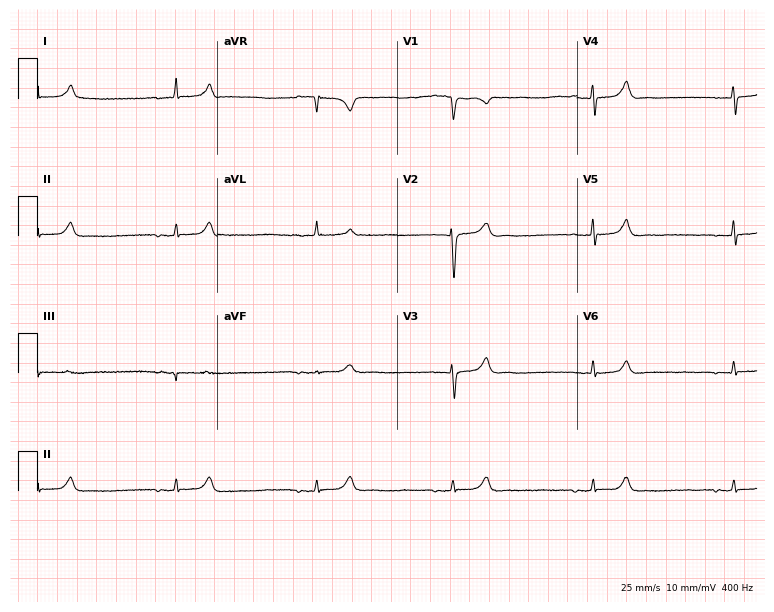
12-lead ECG from an 85-year-old female patient. Shows sinus bradycardia (a sinus rate of 50 beats per minute or less).